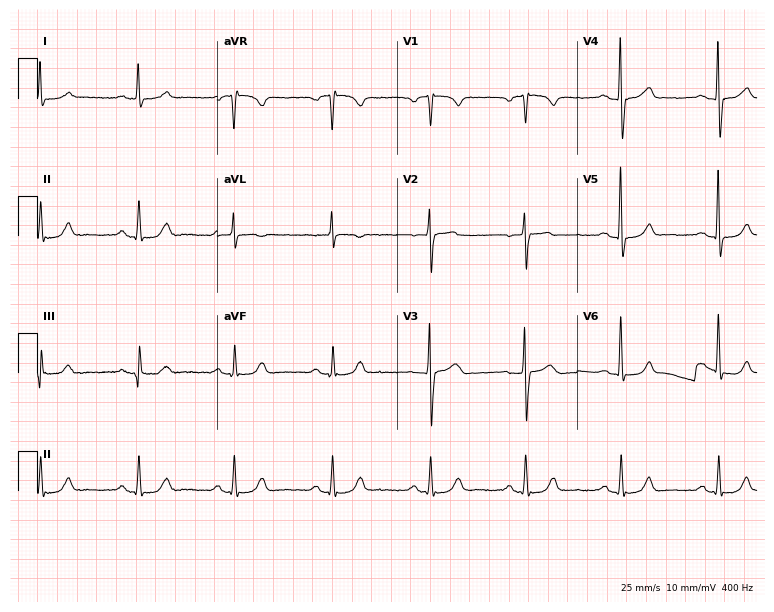
Resting 12-lead electrocardiogram. Patient: a male, 73 years old. Read as a normal ECG.